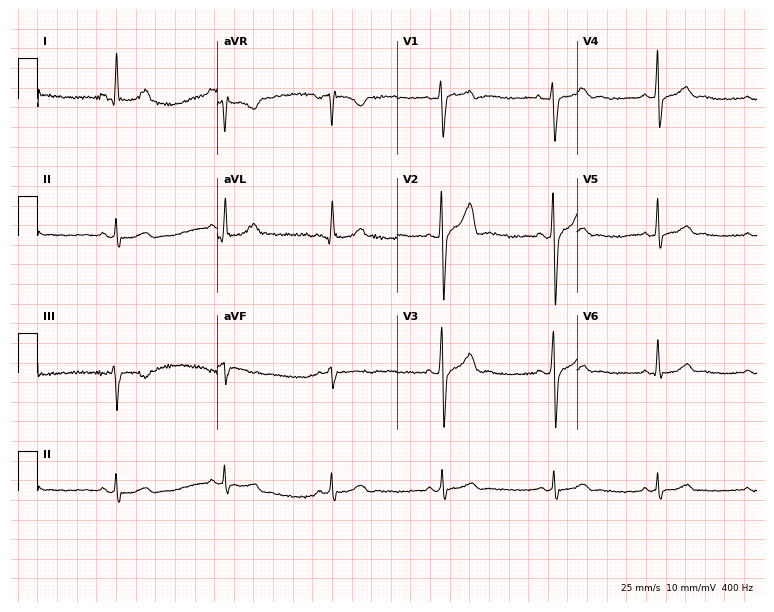
Electrocardiogram (7.3-second recording at 400 Hz), a 36-year-old male patient. Overall reading on record: normal ECG.